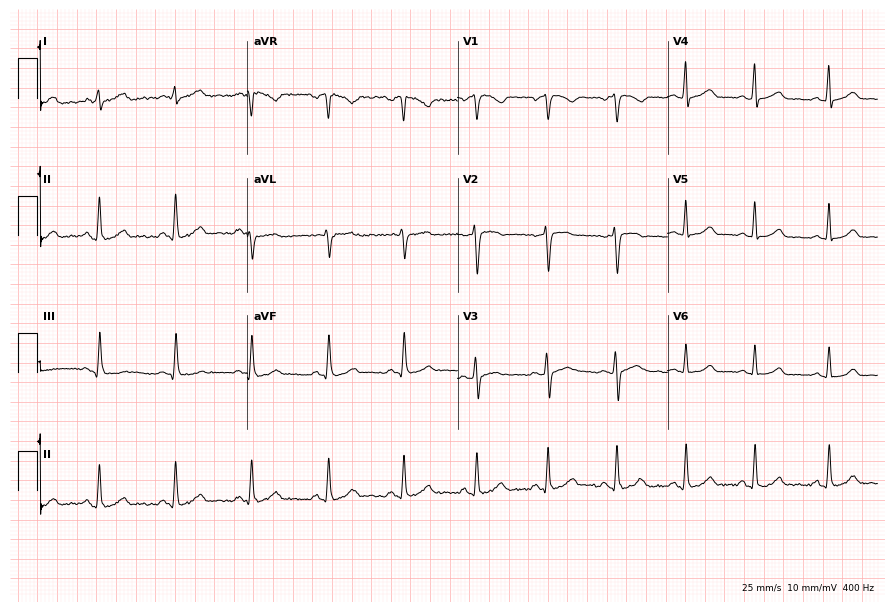
Electrocardiogram (8.6-second recording at 400 Hz), a female, 28 years old. Of the six screened findings (first-degree AV block, right bundle branch block (RBBB), left bundle branch block (LBBB), sinus bradycardia, atrial fibrillation (AF), sinus tachycardia), none is recorded.